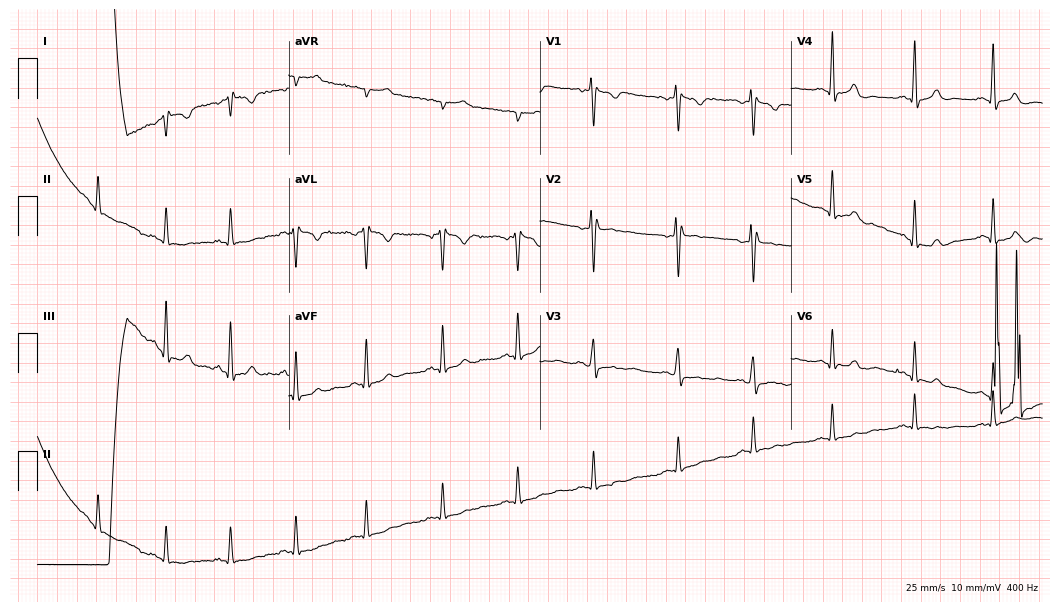
Electrocardiogram, a 35-year-old female patient. Of the six screened findings (first-degree AV block, right bundle branch block, left bundle branch block, sinus bradycardia, atrial fibrillation, sinus tachycardia), none is recorded. Only these six findings were labelled.